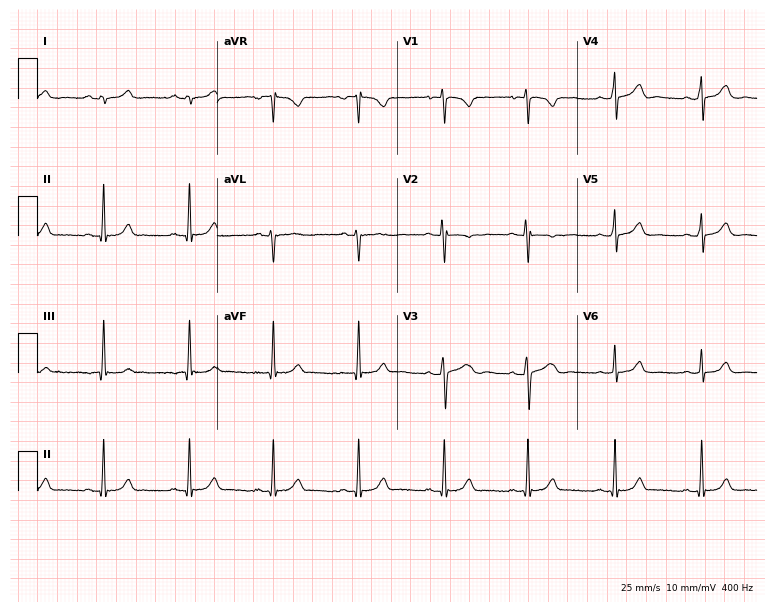
ECG — a female, 19 years old. Labelled as a normal ECG.